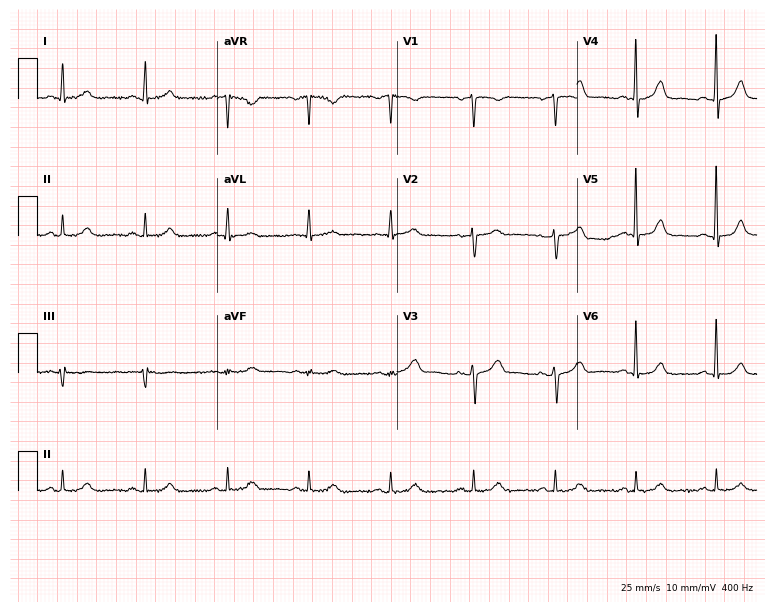
12-lead ECG from a female, 67 years old (7.3-second recording at 400 Hz). No first-degree AV block, right bundle branch block, left bundle branch block, sinus bradycardia, atrial fibrillation or sinus tachycardia recorded for this tracing.